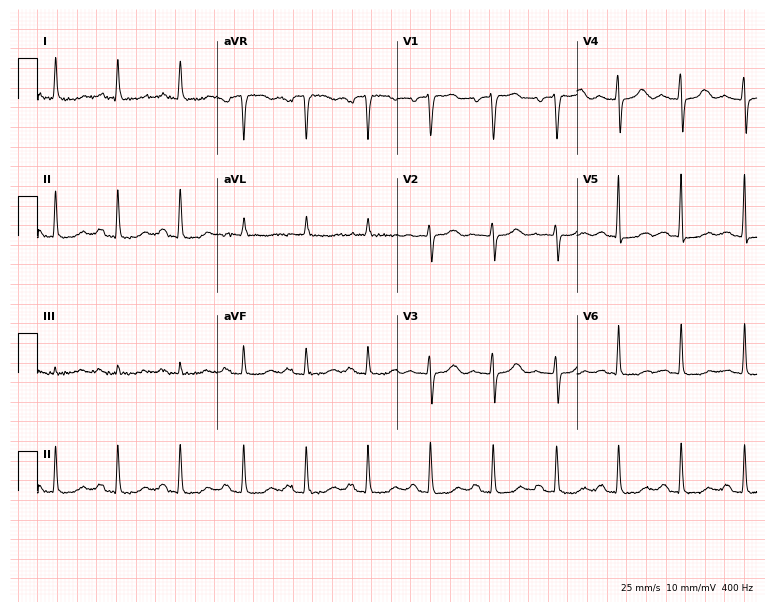
Standard 12-lead ECG recorded from an 80-year-old female (7.3-second recording at 400 Hz). Read as a normal ECG.